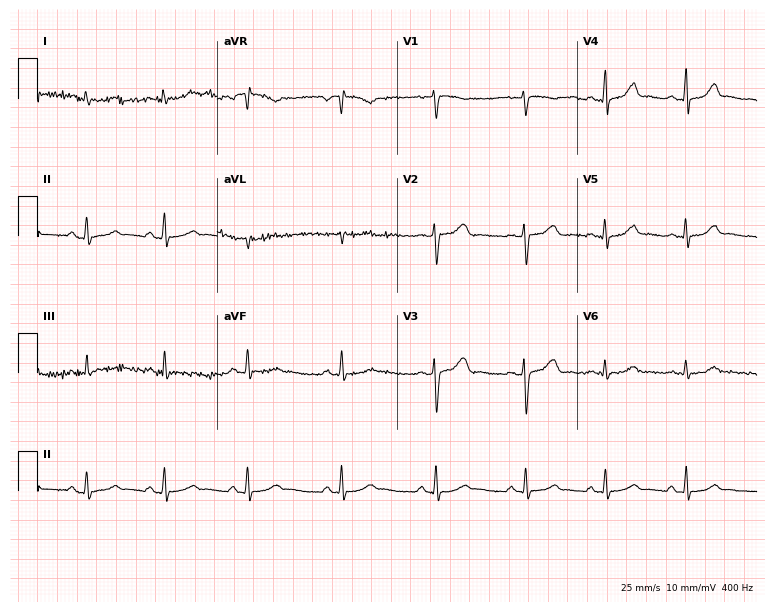
Electrocardiogram, a female patient, 25 years old. Overall reading on record: normal ECG.